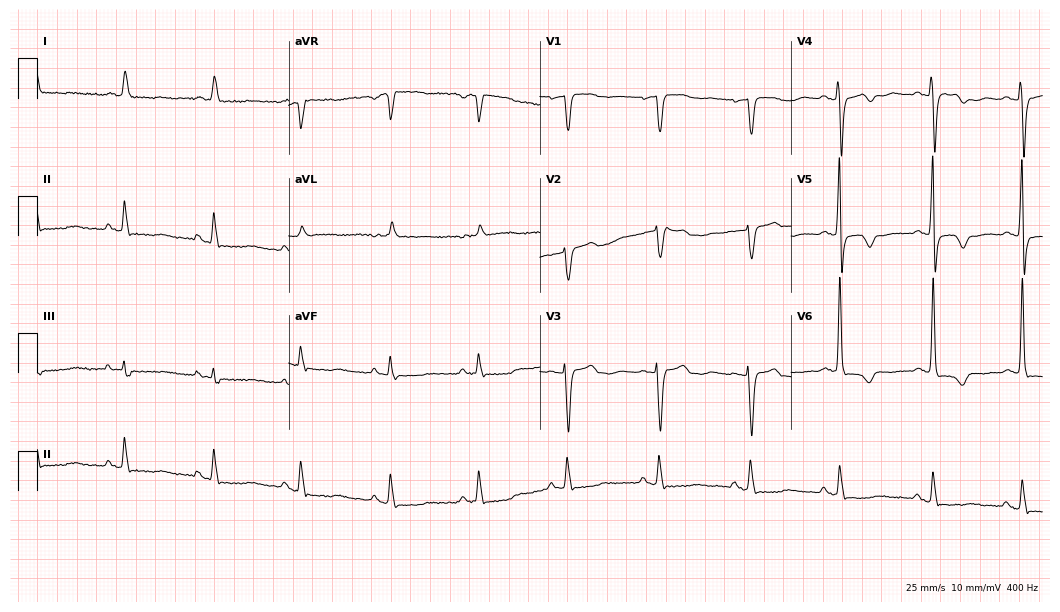
Standard 12-lead ECG recorded from a woman, 84 years old (10.2-second recording at 400 Hz). None of these six findings is recorded: first-degree AV block, right bundle branch block (RBBB), left bundle branch block (LBBB), sinus bradycardia, atrial fibrillation (AF), sinus tachycardia. Only these six findings were labelled.